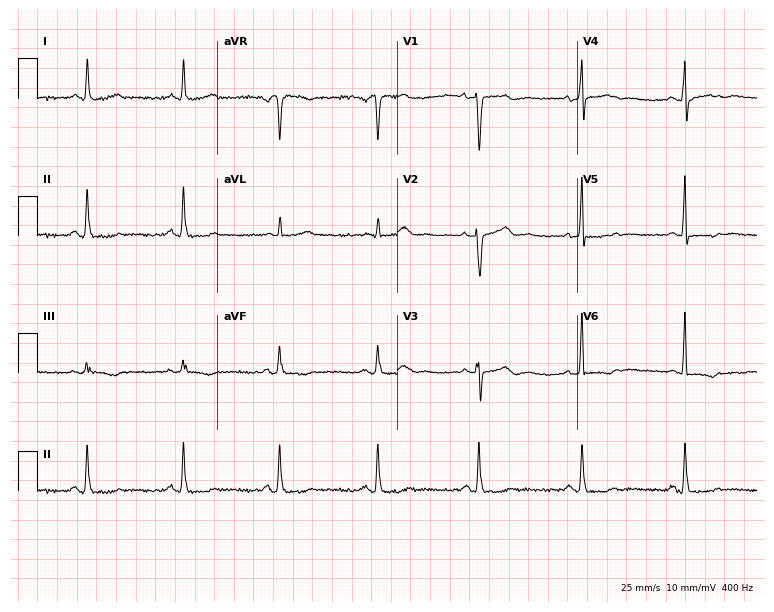
Resting 12-lead electrocardiogram (7.3-second recording at 400 Hz). Patient: a woman, 52 years old. None of these six findings is recorded: first-degree AV block, right bundle branch block, left bundle branch block, sinus bradycardia, atrial fibrillation, sinus tachycardia. Findings outside these six are not listed.